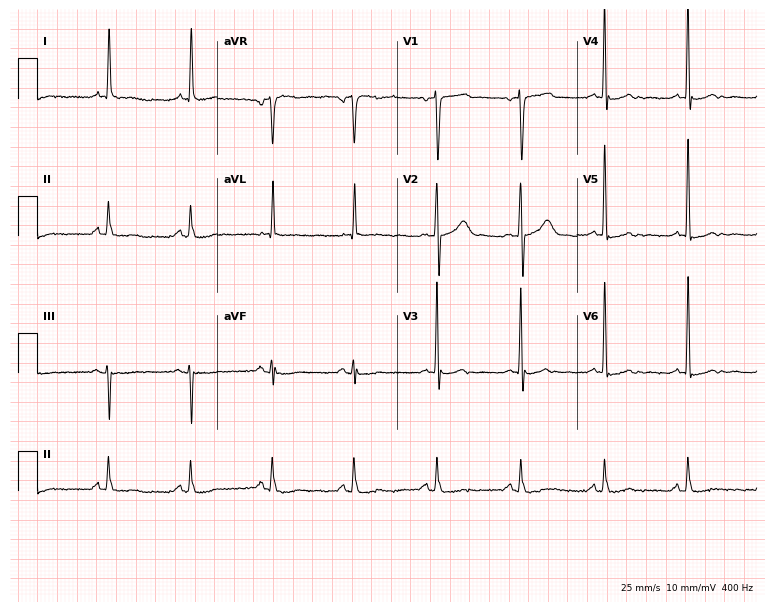
12-lead ECG from a man, 80 years old. Screened for six findings — first-degree AV block, right bundle branch block (RBBB), left bundle branch block (LBBB), sinus bradycardia, atrial fibrillation (AF), sinus tachycardia — none is recorded.